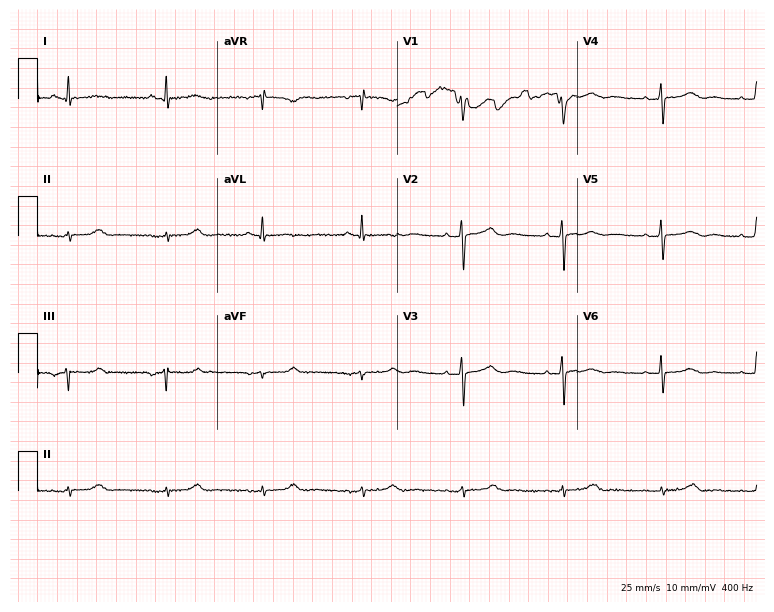
12-lead ECG from a woman, 66 years old (7.3-second recording at 400 Hz). No first-degree AV block, right bundle branch block (RBBB), left bundle branch block (LBBB), sinus bradycardia, atrial fibrillation (AF) or sinus tachycardia recorded for this tracing.